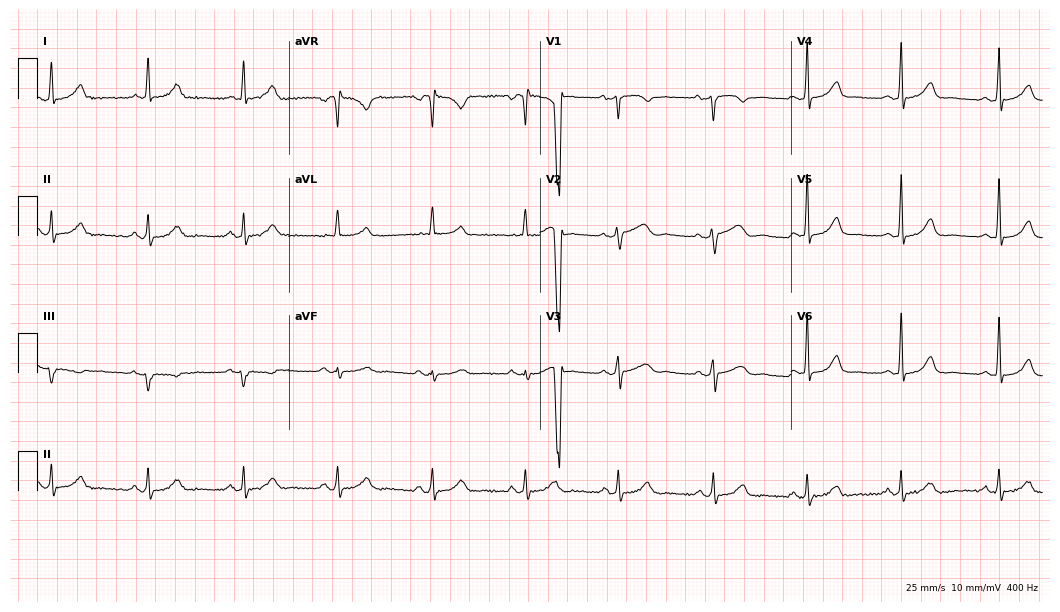
12-lead ECG (10.2-second recording at 400 Hz) from a female patient, 51 years old. Labelled as a normal ECG.